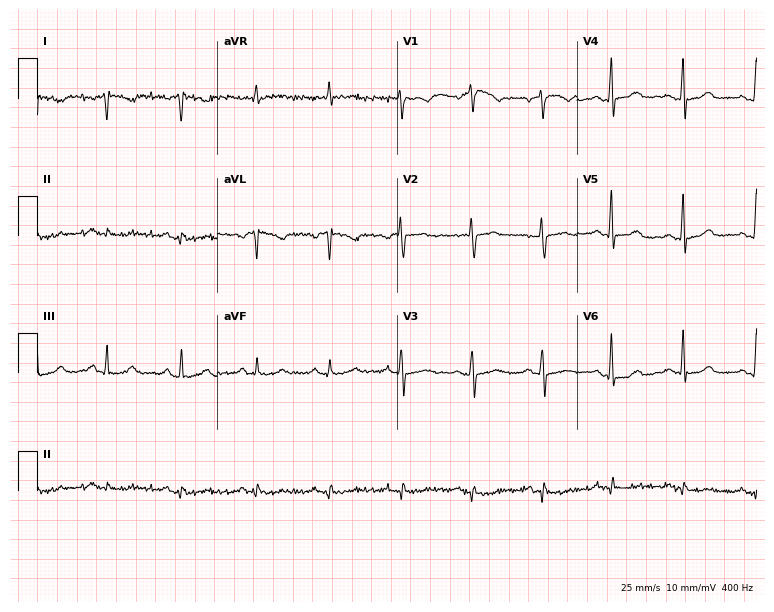
Electrocardiogram (7.3-second recording at 400 Hz), a female patient, 56 years old. Of the six screened findings (first-degree AV block, right bundle branch block (RBBB), left bundle branch block (LBBB), sinus bradycardia, atrial fibrillation (AF), sinus tachycardia), none is recorded. Only these six findings were labelled.